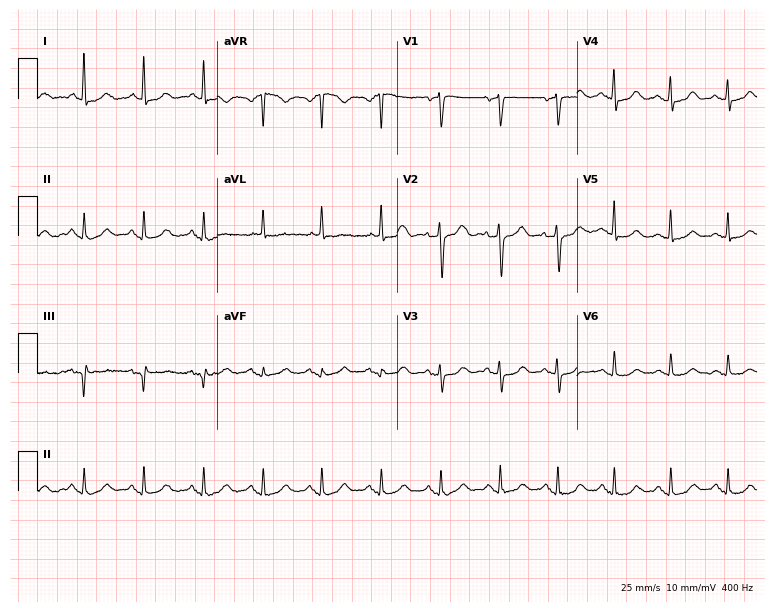
Electrocardiogram (7.3-second recording at 400 Hz), a female, 72 years old. Interpretation includes sinus tachycardia (a sinus rate of 100 beats per minute or more).